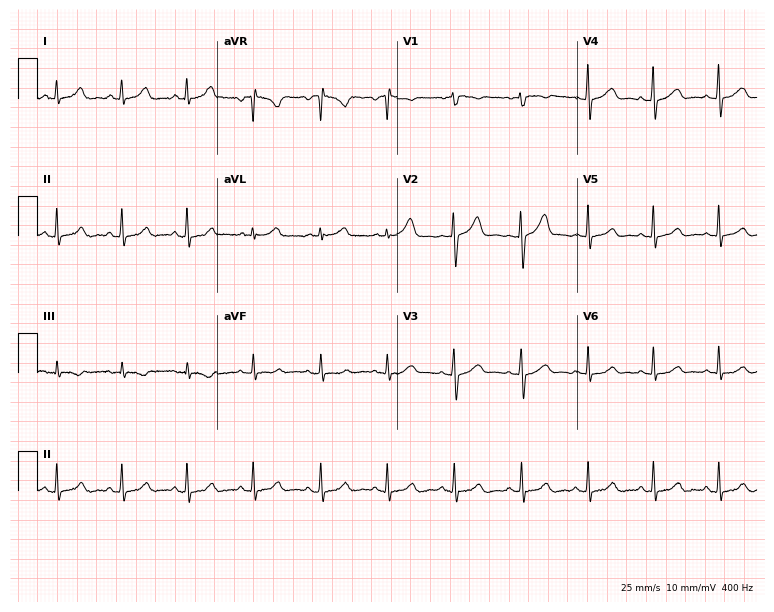
12-lead ECG (7.3-second recording at 400 Hz) from a female, 32 years old. Screened for six findings — first-degree AV block, right bundle branch block, left bundle branch block, sinus bradycardia, atrial fibrillation, sinus tachycardia — none is recorded.